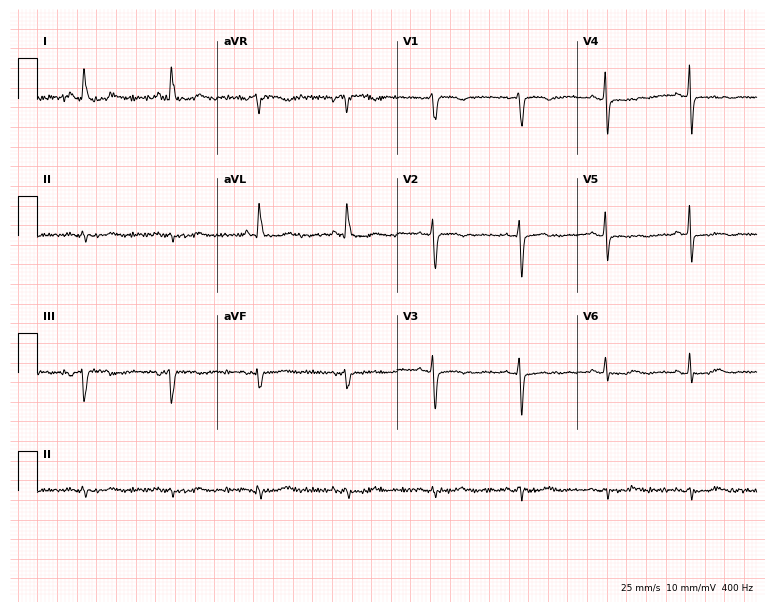
12-lead ECG (7.3-second recording at 400 Hz) from a female patient, 74 years old. Screened for six findings — first-degree AV block, right bundle branch block, left bundle branch block, sinus bradycardia, atrial fibrillation, sinus tachycardia — none is recorded. Findings outside these six are not listed.